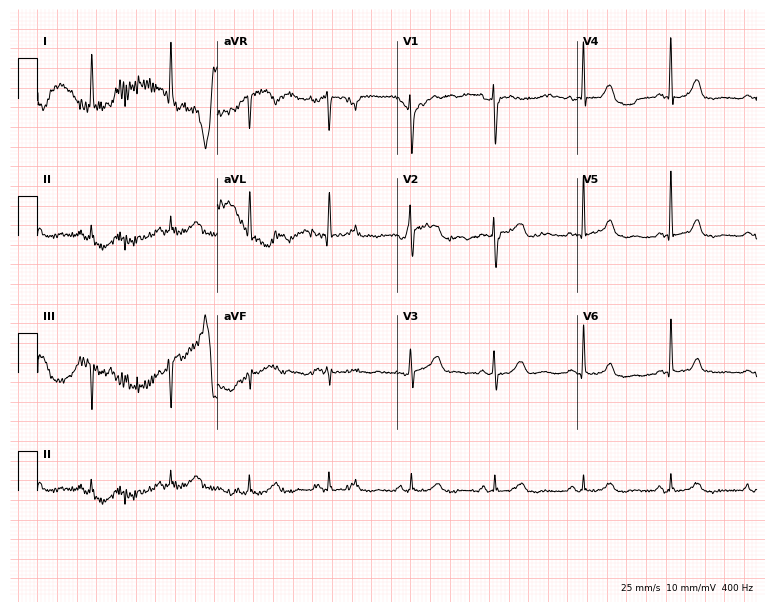
Resting 12-lead electrocardiogram (7.3-second recording at 400 Hz). Patient: a female, 85 years old. Read as a normal ECG.